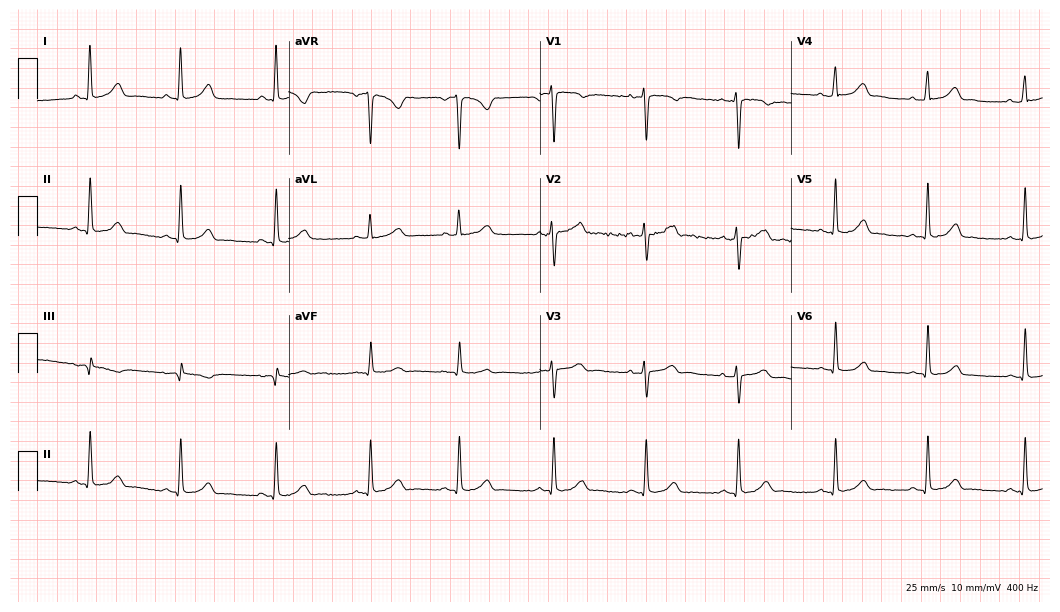
Standard 12-lead ECG recorded from a woman, 28 years old (10.2-second recording at 400 Hz). Read as a normal ECG.